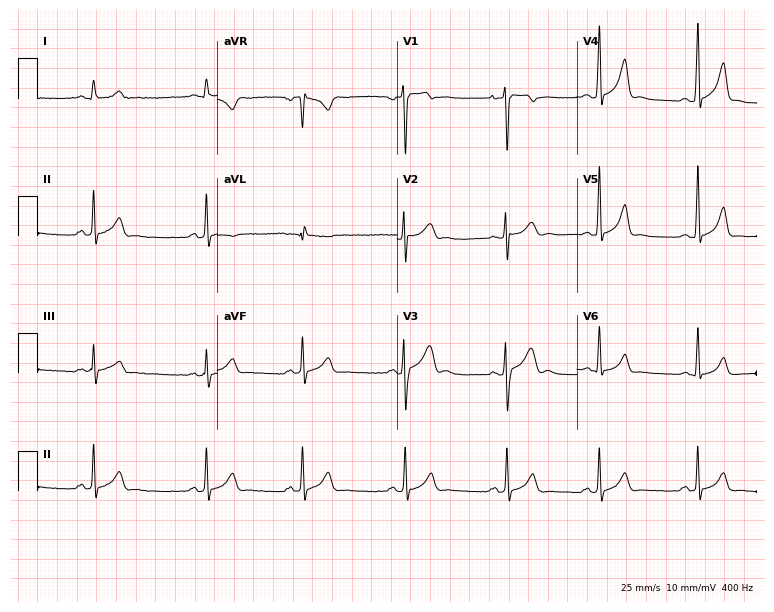
12-lead ECG from a male, 20 years old. Screened for six findings — first-degree AV block, right bundle branch block, left bundle branch block, sinus bradycardia, atrial fibrillation, sinus tachycardia — none is recorded. Findings outside these six are not listed.